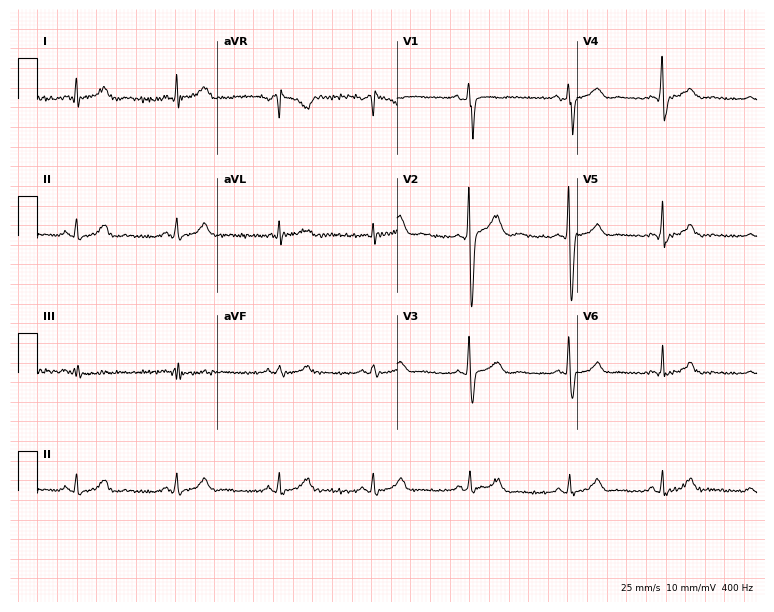
12-lead ECG (7.3-second recording at 400 Hz) from a 28-year-old male. Labelled as a normal ECG.